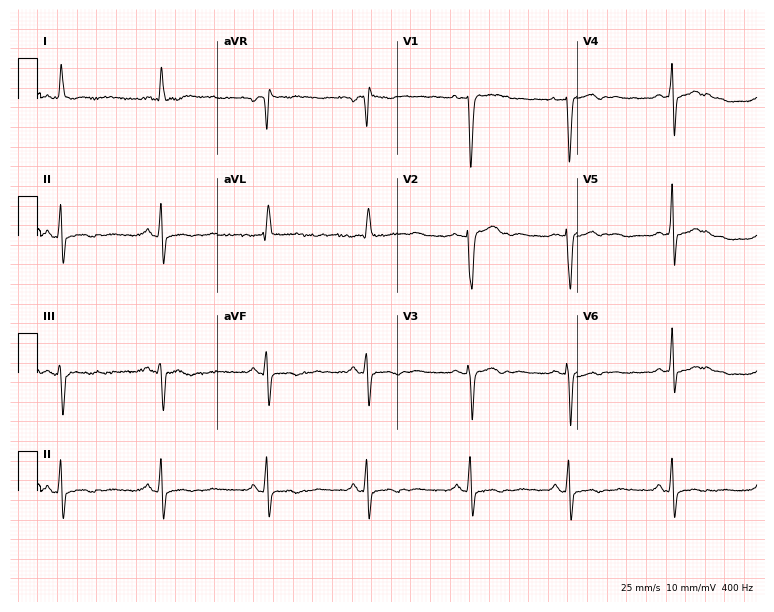
Standard 12-lead ECG recorded from a female patient, 33 years old. None of these six findings is recorded: first-degree AV block, right bundle branch block, left bundle branch block, sinus bradycardia, atrial fibrillation, sinus tachycardia.